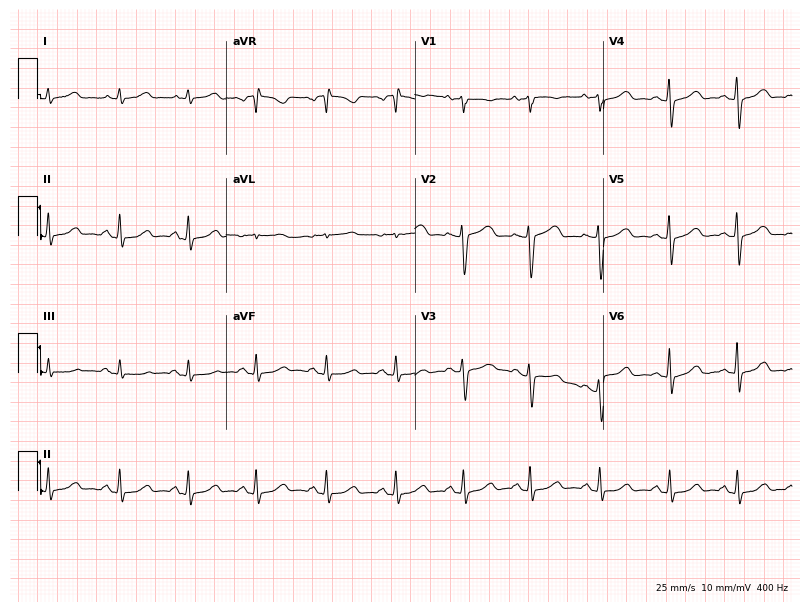
12-lead ECG (7.7-second recording at 400 Hz) from a female patient, 51 years old. Labelled as a normal ECG.